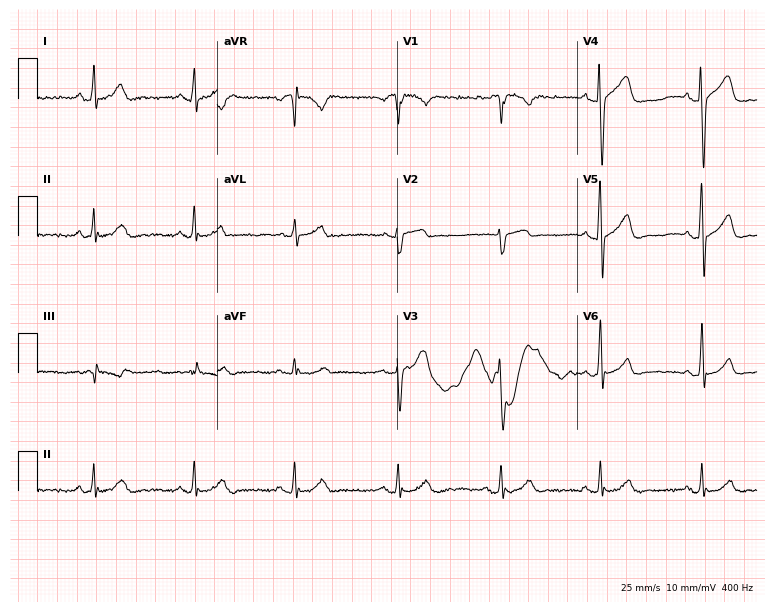
ECG — a male, 41 years old. Labelled as a normal ECG.